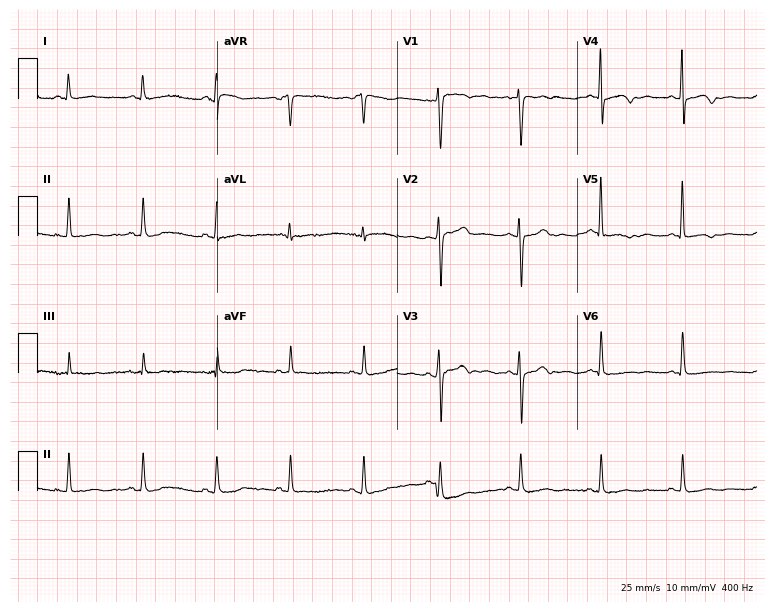
ECG (7.3-second recording at 400 Hz) — a female, 39 years old. Screened for six findings — first-degree AV block, right bundle branch block, left bundle branch block, sinus bradycardia, atrial fibrillation, sinus tachycardia — none is recorded.